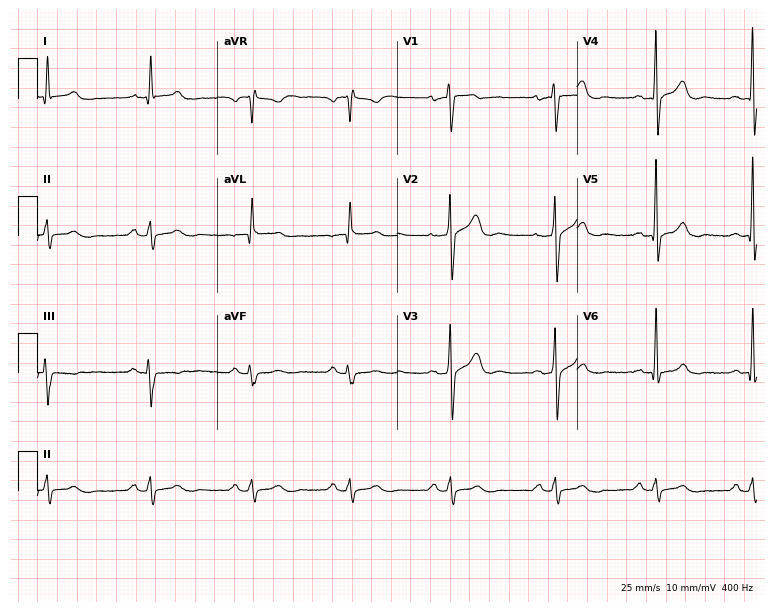
Standard 12-lead ECG recorded from a male, 68 years old (7.3-second recording at 400 Hz). None of these six findings is recorded: first-degree AV block, right bundle branch block, left bundle branch block, sinus bradycardia, atrial fibrillation, sinus tachycardia. Findings outside these six are not listed.